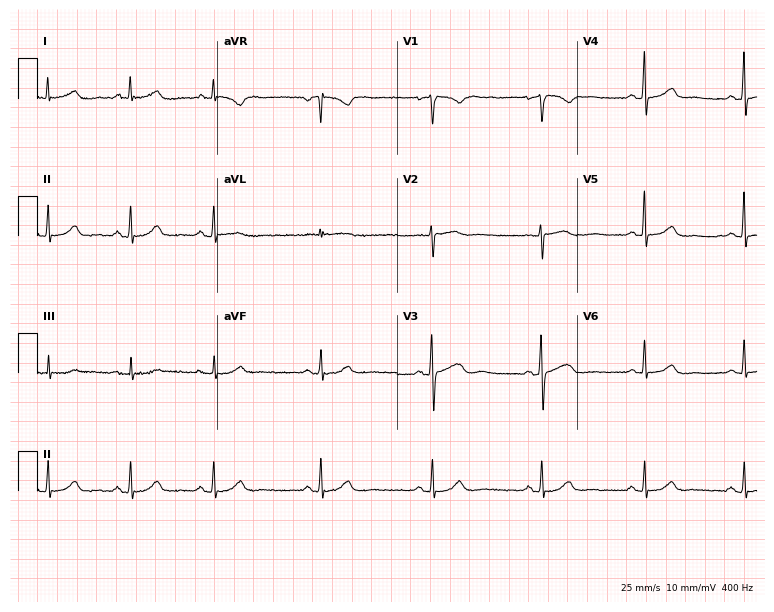
Electrocardiogram (7.3-second recording at 400 Hz), a female patient, 42 years old. Overall reading on record: normal ECG.